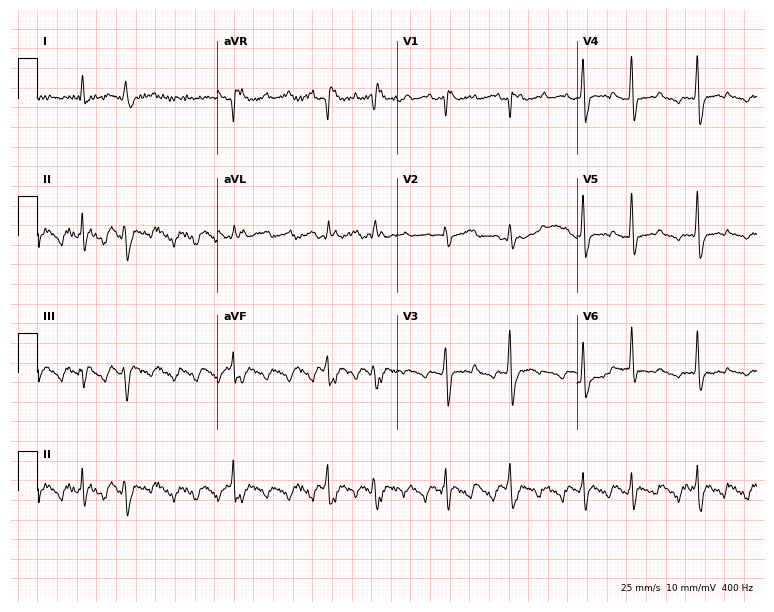
12-lead ECG (7.3-second recording at 400 Hz) from a 54-year-old male. Findings include atrial fibrillation (AF).